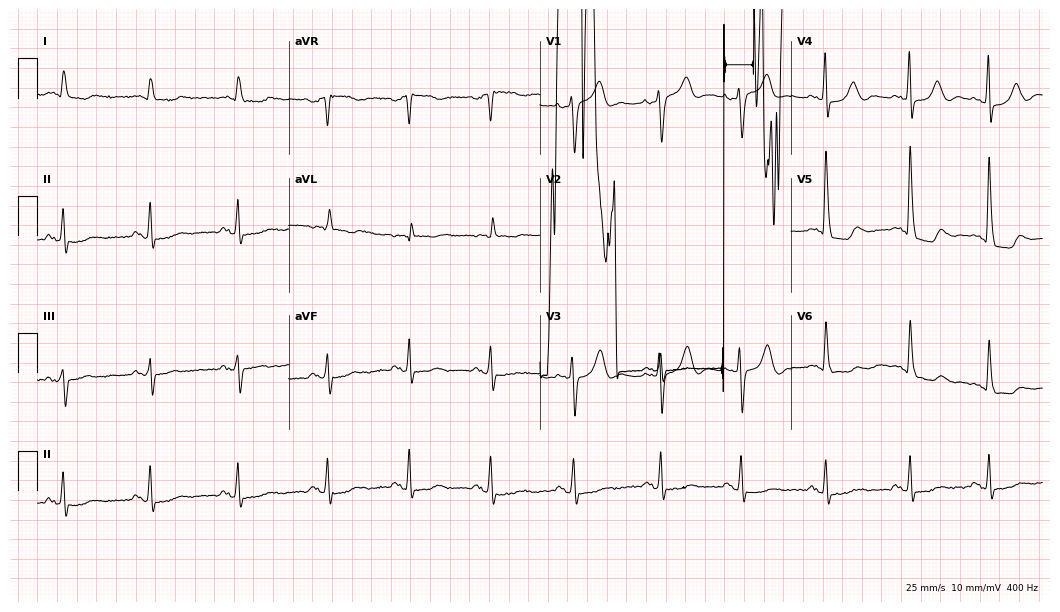
ECG — a female patient, 84 years old. Findings include first-degree AV block.